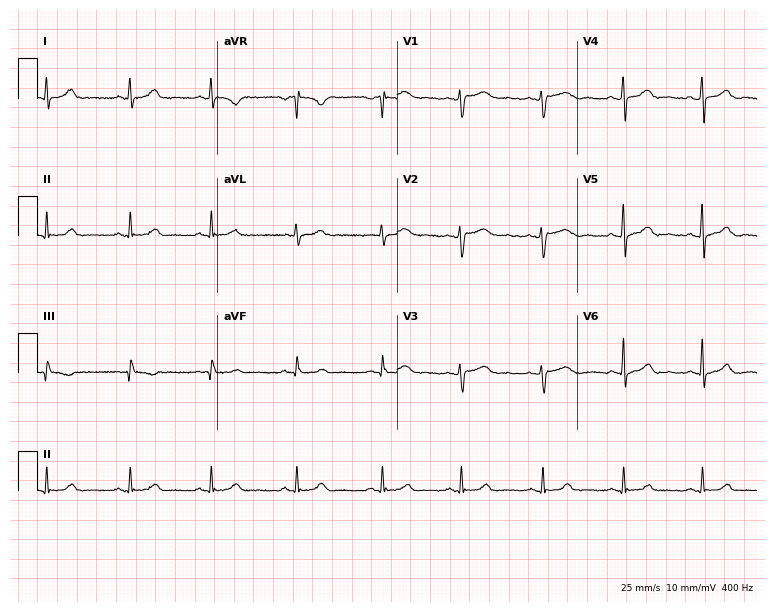
Resting 12-lead electrocardiogram (7.3-second recording at 400 Hz). Patient: a woman, 33 years old. Read as a normal ECG.